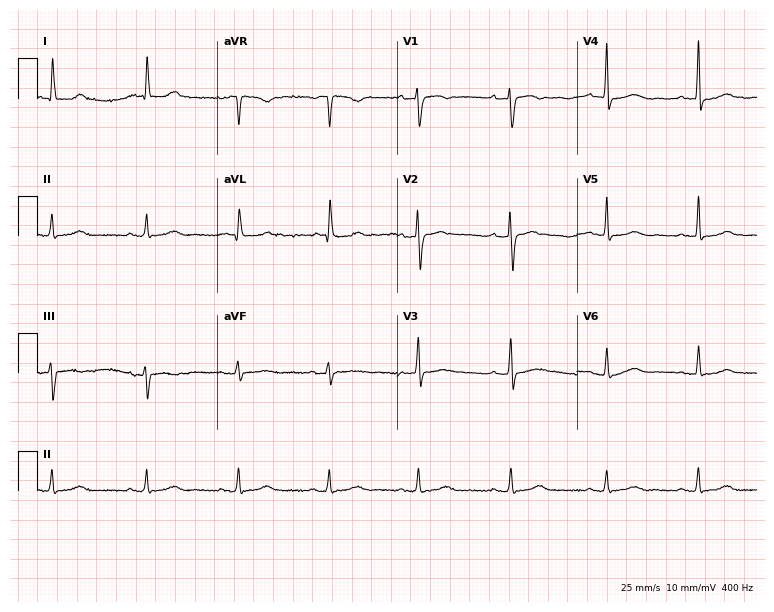
ECG (7.3-second recording at 400 Hz) — a 73-year-old woman. Labelled as a normal ECG.